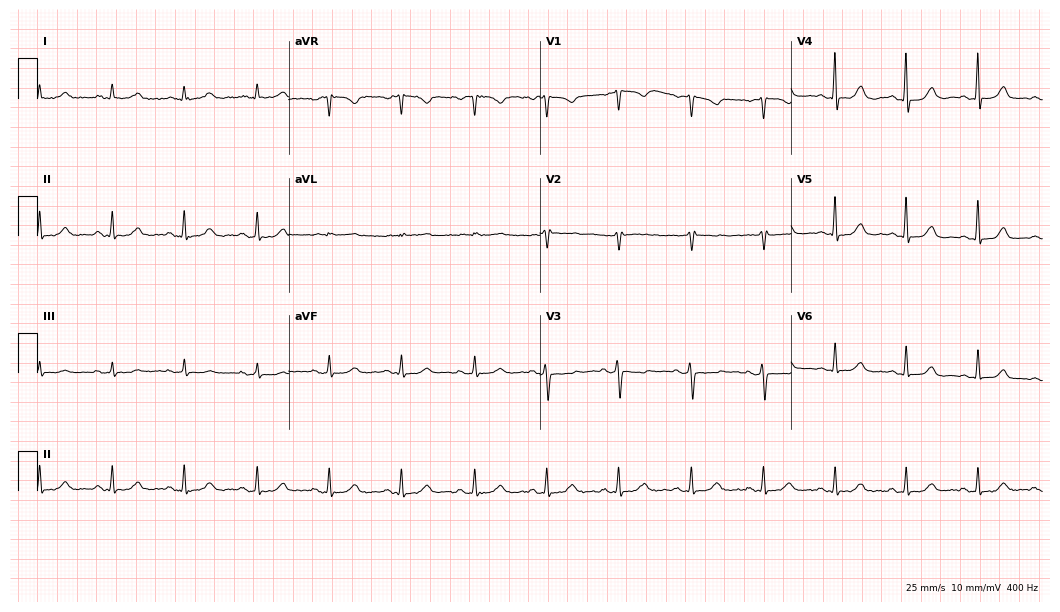
Resting 12-lead electrocardiogram. Patient: a woman, 59 years old. None of these six findings is recorded: first-degree AV block, right bundle branch block, left bundle branch block, sinus bradycardia, atrial fibrillation, sinus tachycardia.